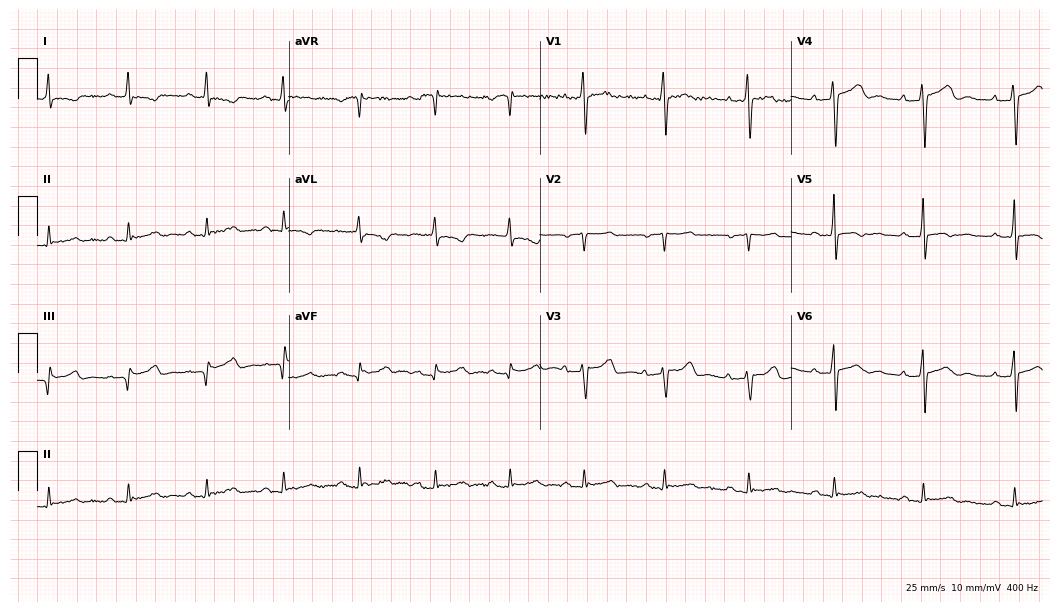
Electrocardiogram (10.2-second recording at 400 Hz), a 52-year-old male patient. Of the six screened findings (first-degree AV block, right bundle branch block (RBBB), left bundle branch block (LBBB), sinus bradycardia, atrial fibrillation (AF), sinus tachycardia), none is recorded.